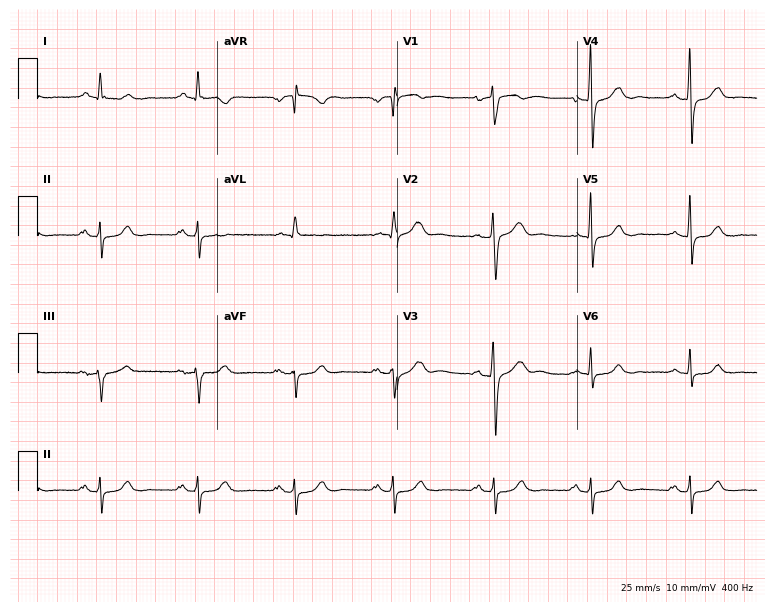
Electrocardiogram (7.3-second recording at 400 Hz), a male, 64 years old. Of the six screened findings (first-degree AV block, right bundle branch block, left bundle branch block, sinus bradycardia, atrial fibrillation, sinus tachycardia), none is recorded.